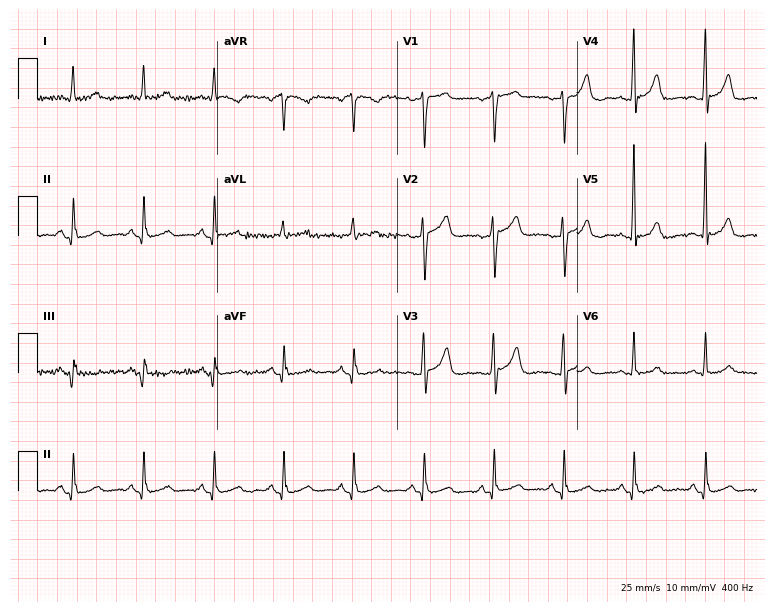
12-lead ECG from an 84-year-old female. Recorded interpretation: within normal limits.